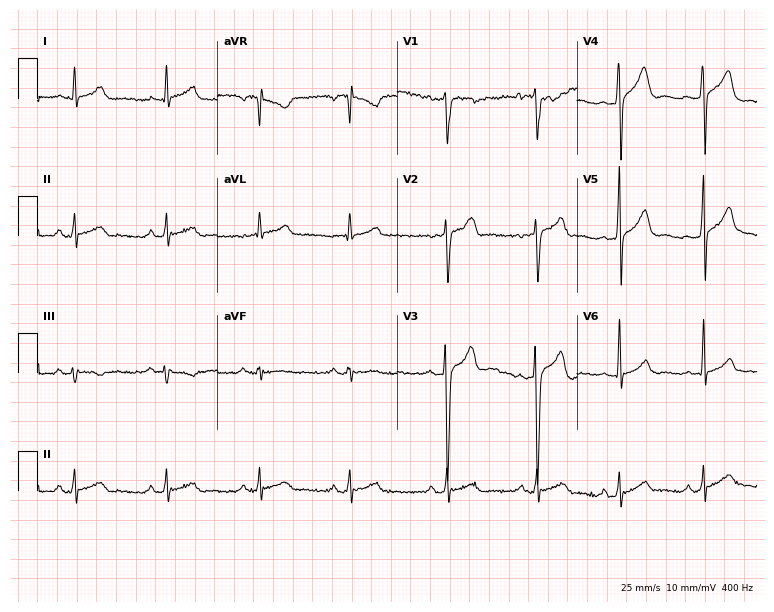
Electrocardiogram, a 31-year-old man. Overall reading on record: normal ECG.